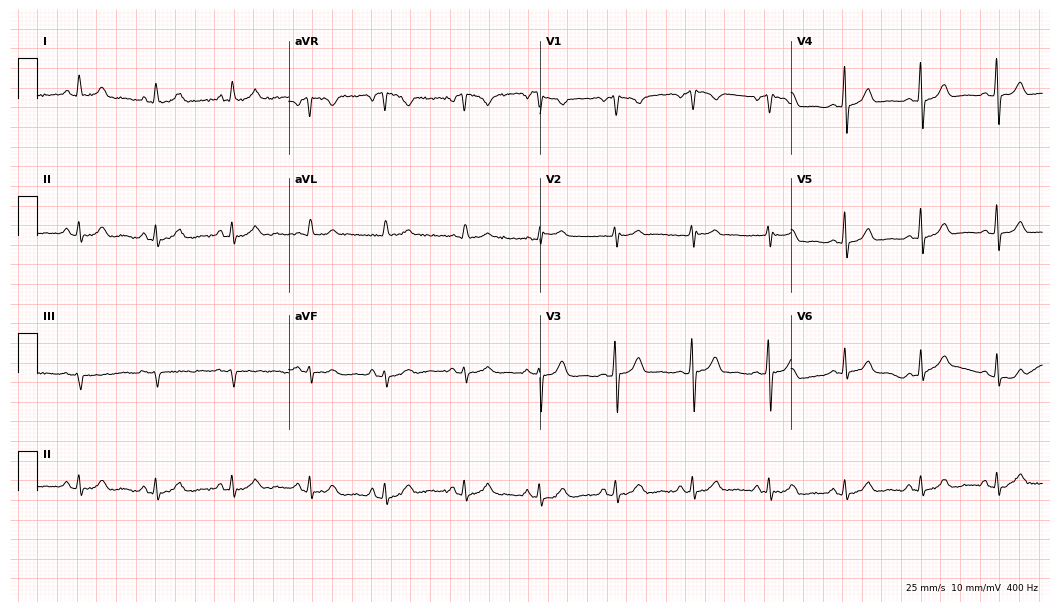
12-lead ECG (10.2-second recording at 400 Hz) from a female patient, 44 years old. Screened for six findings — first-degree AV block, right bundle branch block, left bundle branch block, sinus bradycardia, atrial fibrillation, sinus tachycardia — none is recorded.